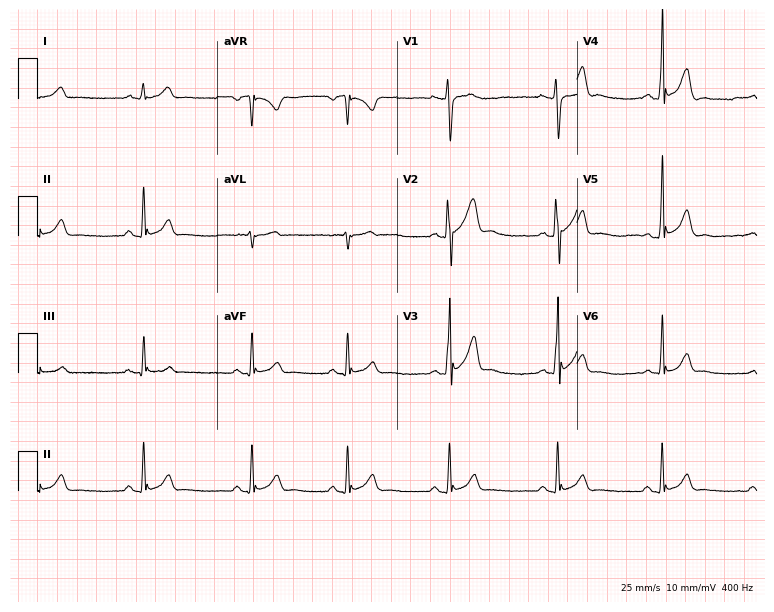
ECG (7.3-second recording at 400 Hz) — a male patient, 18 years old. Labelled as a normal ECG.